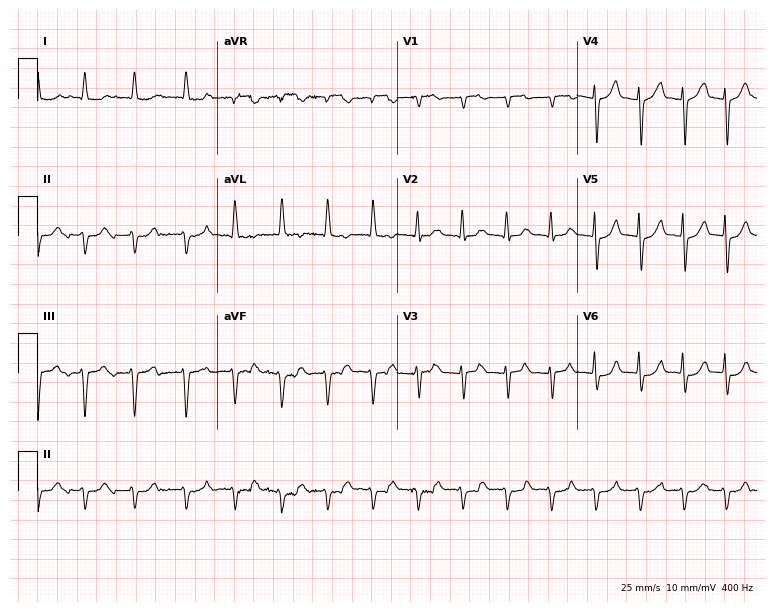
Resting 12-lead electrocardiogram. Patient: a male, 80 years old. The tracing shows sinus tachycardia (a sinus rate of 100 beats per minute or more).